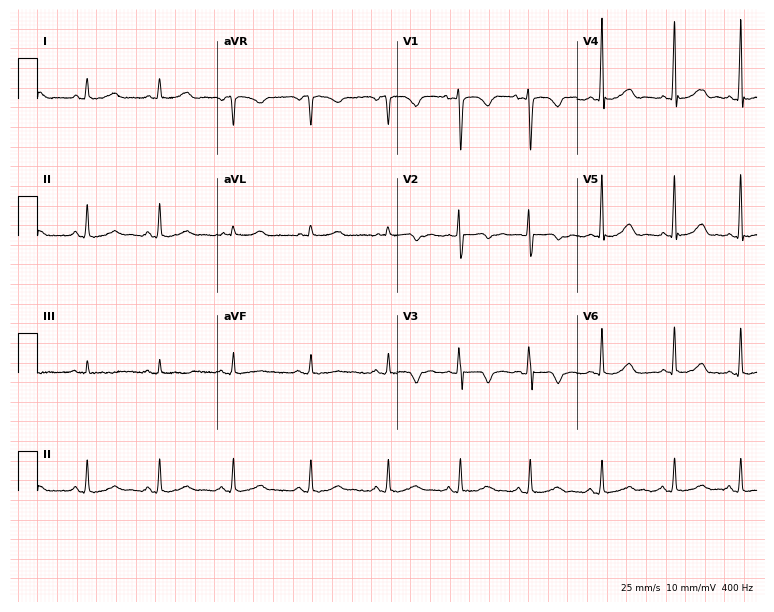
Standard 12-lead ECG recorded from a female, 31 years old. Read as a normal ECG.